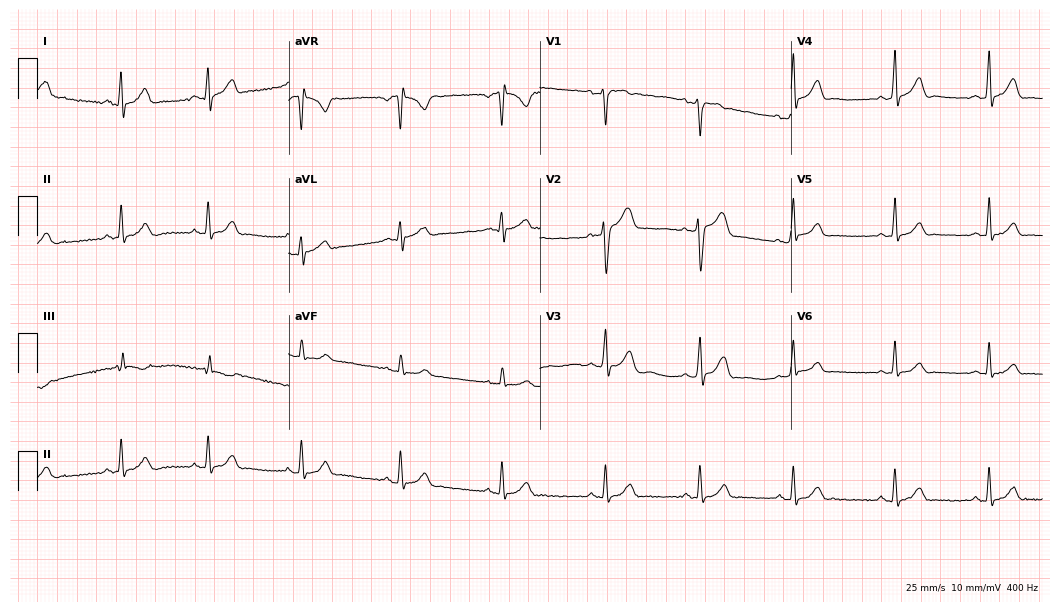
Electrocardiogram (10.2-second recording at 400 Hz), a male patient, 25 years old. Overall reading on record: normal ECG.